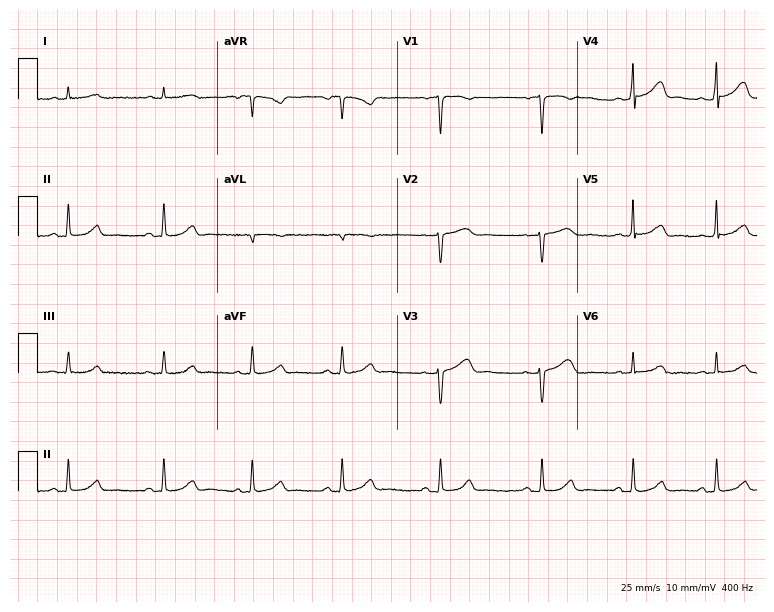
Resting 12-lead electrocardiogram. Patient: a woman, 41 years old. None of these six findings is recorded: first-degree AV block, right bundle branch block, left bundle branch block, sinus bradycardia, atrial fibrillation, sinus tachycardia.